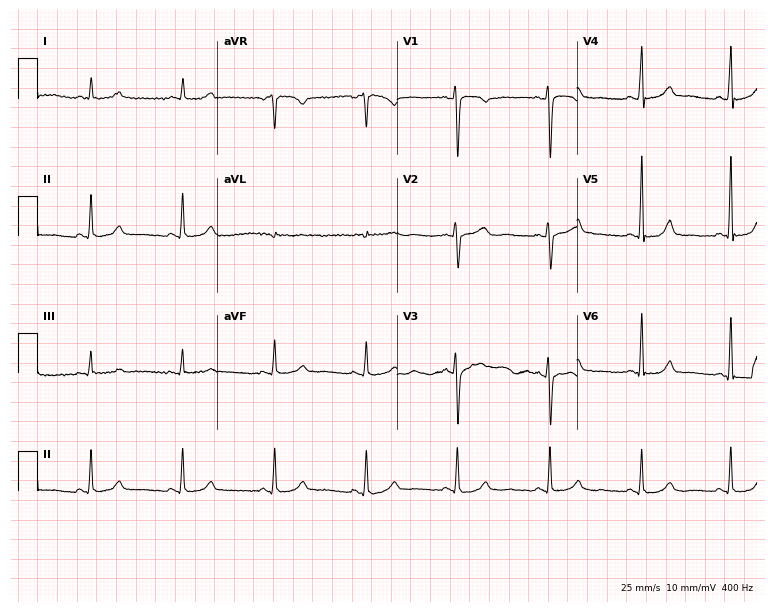
Resting 12-lead electrocardiogram. Patient: a woman, 46 years old. Read as a normal ECG.